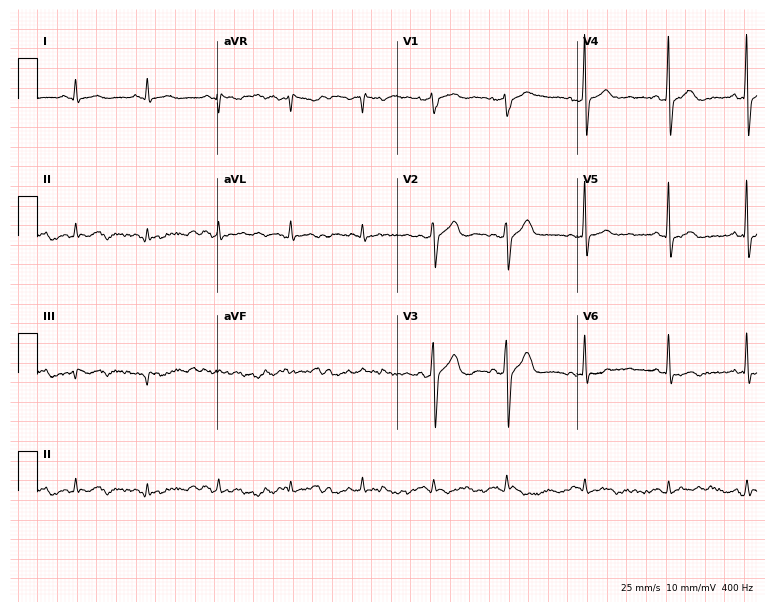
Standard 12-lead ECG recorded from a 66-year-old male. None of these six findings is recorded: first-degree AV block, right bundle branch block, left bundle branch block, sinus bradycardia, atrial fibrillation, sinus tachycardia. Only these six findings were labelled.